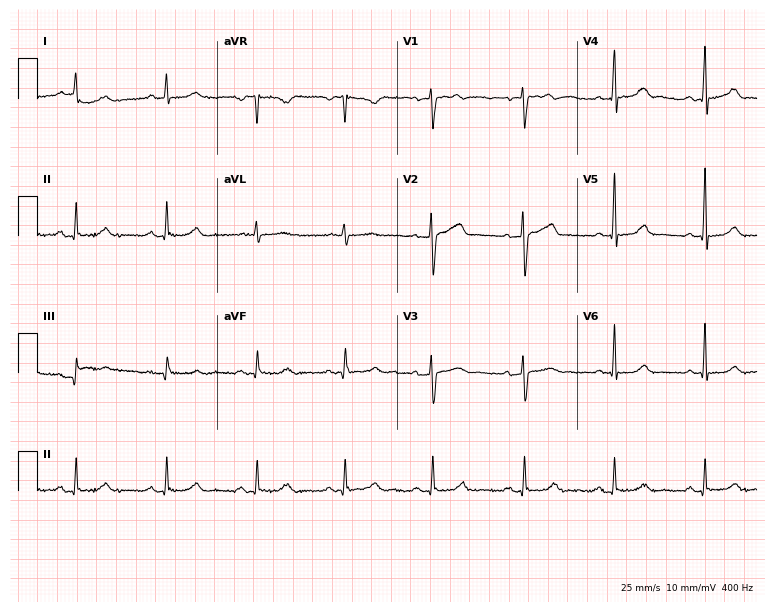
Standard 12-lead ECG recorded from a woman, 44 years old. Read as a normal ECG.